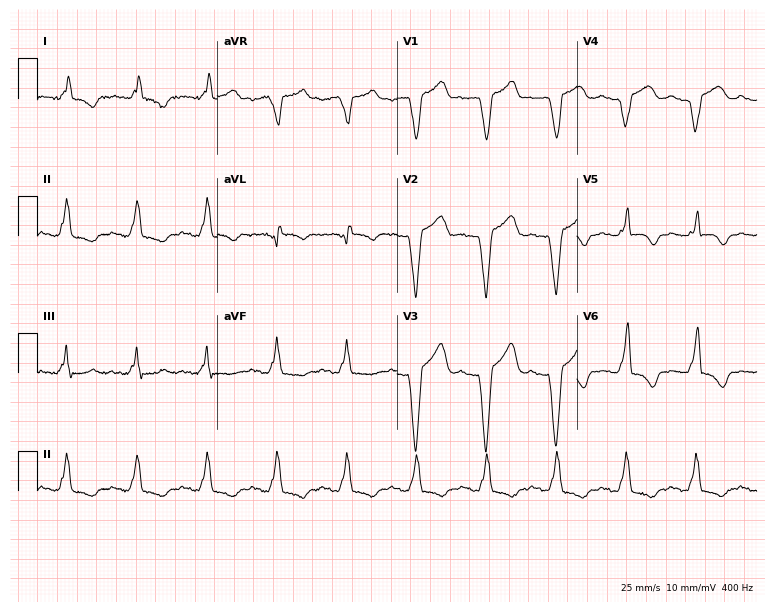
ECG (7.3-second recording at 400 Hz) — a female, 79 years old. Findings include left bundle branch block (LBBB).